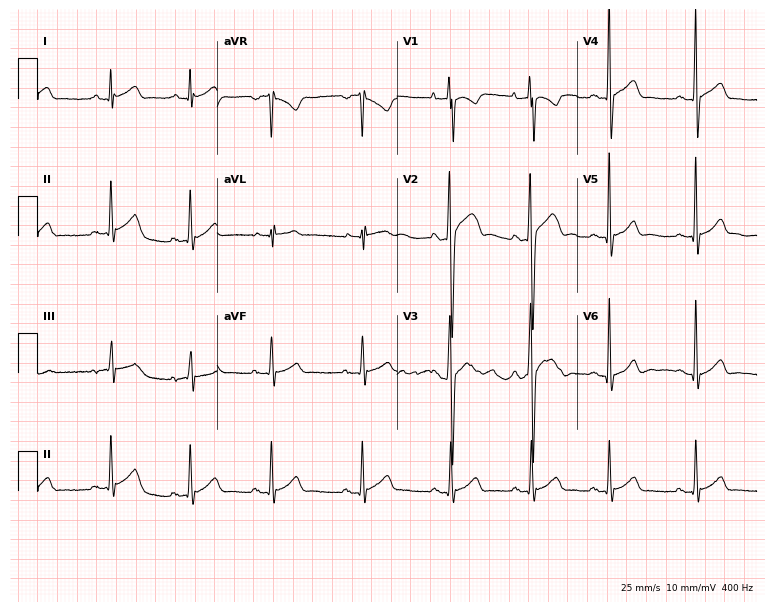
Electrocardiogram, a 20-year-old male patient. Overall reading on record: normal ECG.